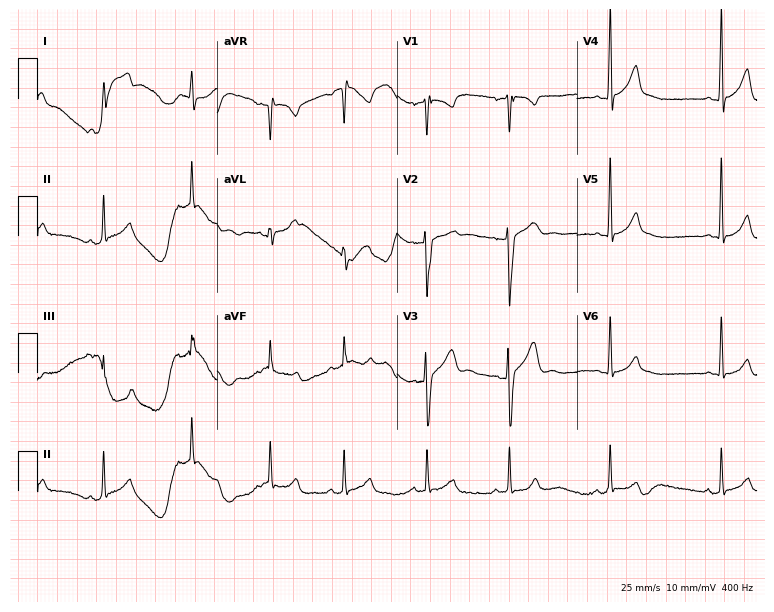
Resting 12-lead electrocardiogram. Patient: a 24-year-old male. None of these six findings is recorded: first-degree AV block, right bundle branch block, left bundle branch block, sinus bradycardia, atrial fibrillation, sinus tachycardia.